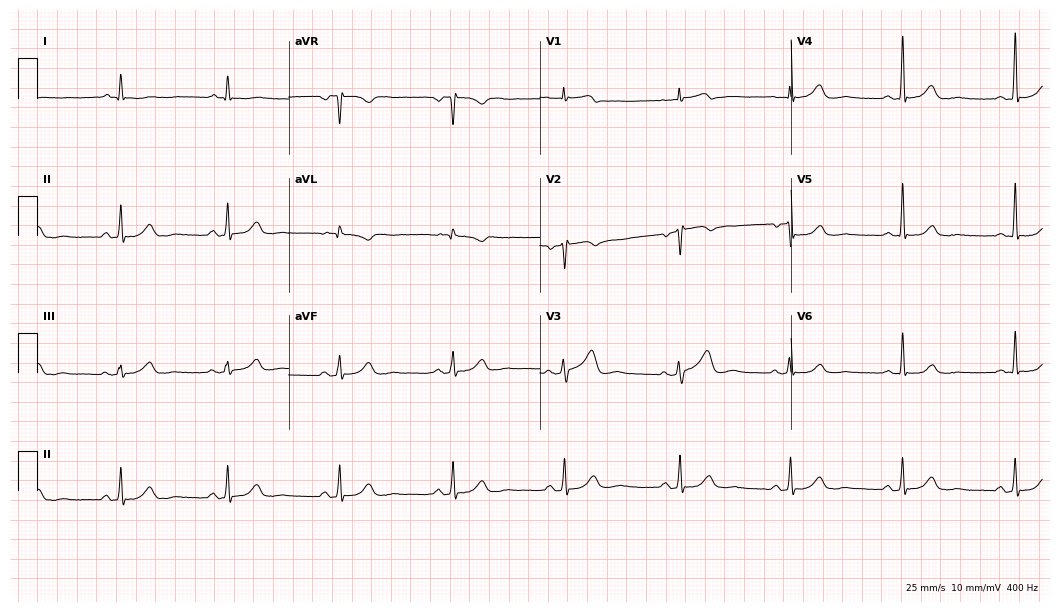
Resting 12-lead electrocardiogram. Patient: a female, 48 years old. Read as a normal ECG.